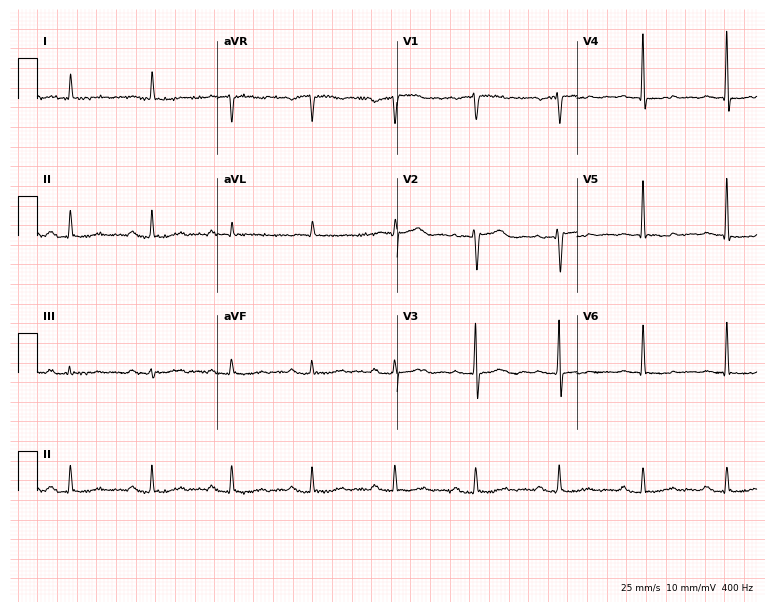
ECG (7.3-second recording at 400 Hz) — a woman, 74 years old. Screened for six findings — first-degree AV block, right bundle branch block, left bundle branch block, sinus bradycardia, atrial fibrillation, sinus tachycardia — none is recorded.